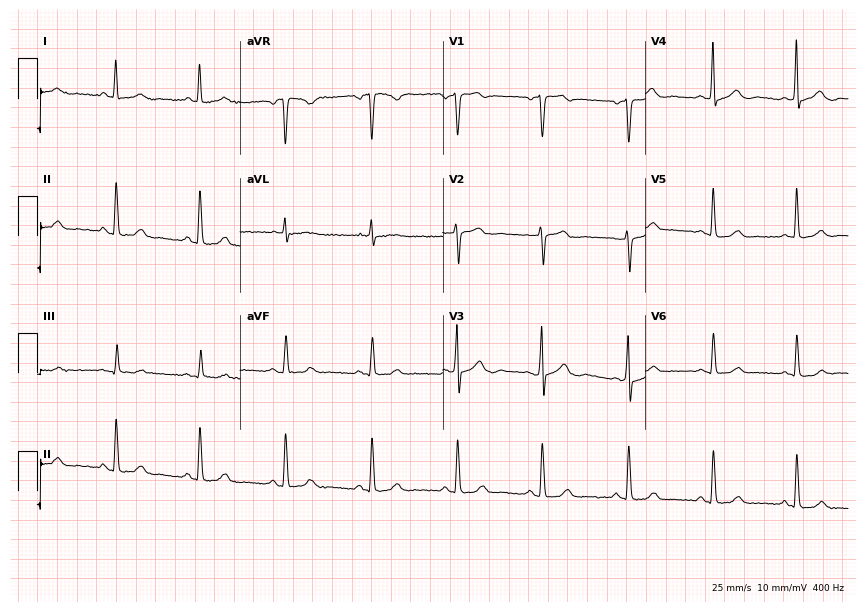
Standard 12-lead ECG recorded from a 40-year-old woman. Read as a normal ECG.